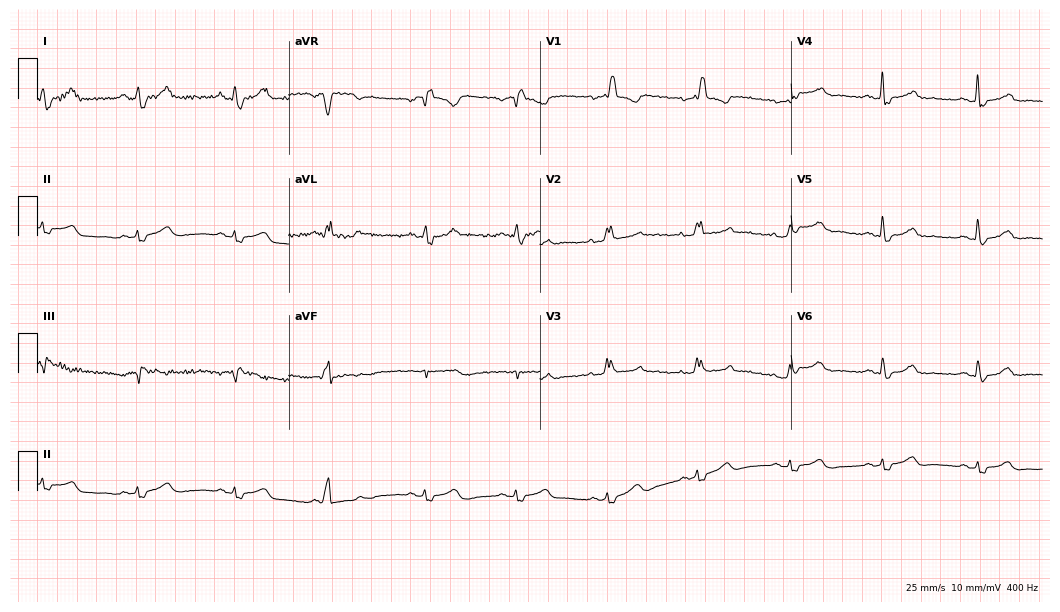
ECG — a female, 43 years old. Findings include right bundle branch block.